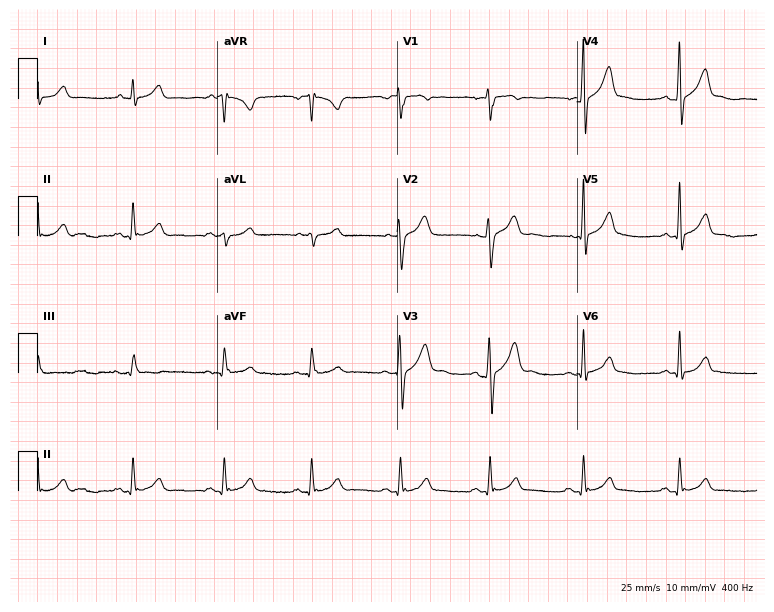
12-lead ECG from a male patient, 41 years old. Labelled as a normal ECG.